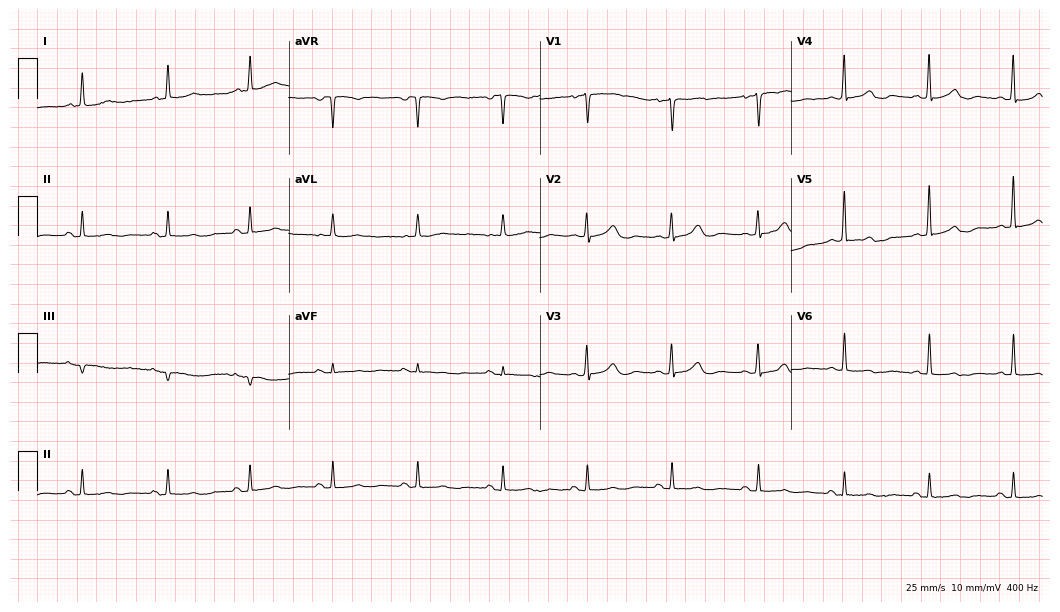
ECG (10.2-second recording at 400 Hz) — a female, 79 years old. Labelled as a normal ECG.